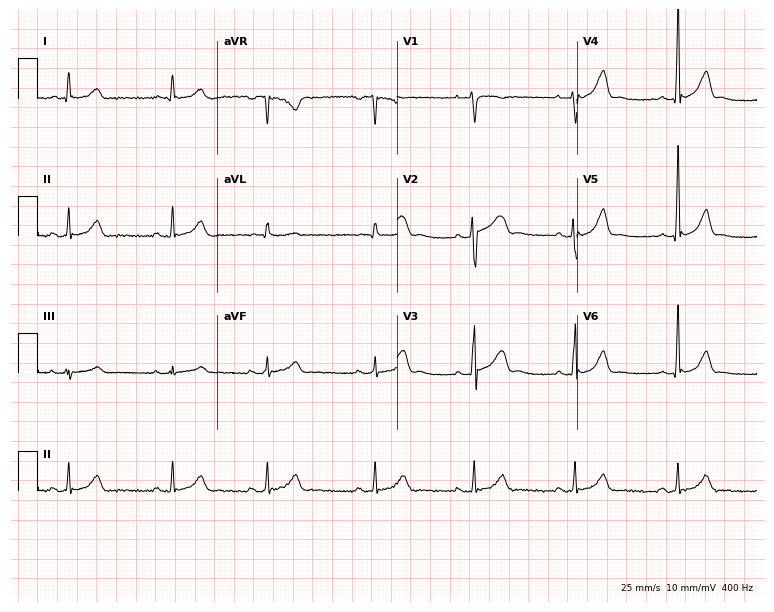
Standard 12-lead ECG recorded from a male, 20 years old. Read as a normal ECG.